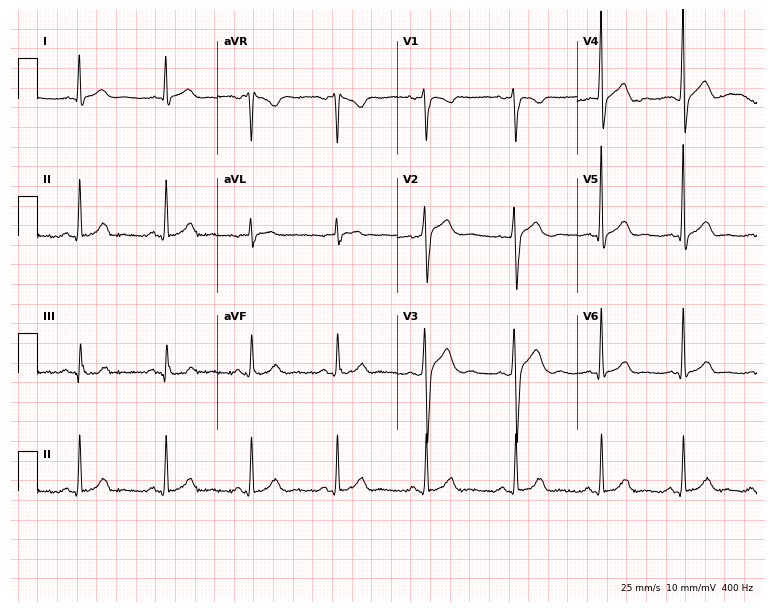
Electrocardiogram, a male, 31 years old. Of the six screened findings (first-degree AV block, right bundle branch block, left bundle branch block, sinus bradycardia, atrial fibrillation, sinus tachycardia), none is recorded. Other findings, if any, are not listed.